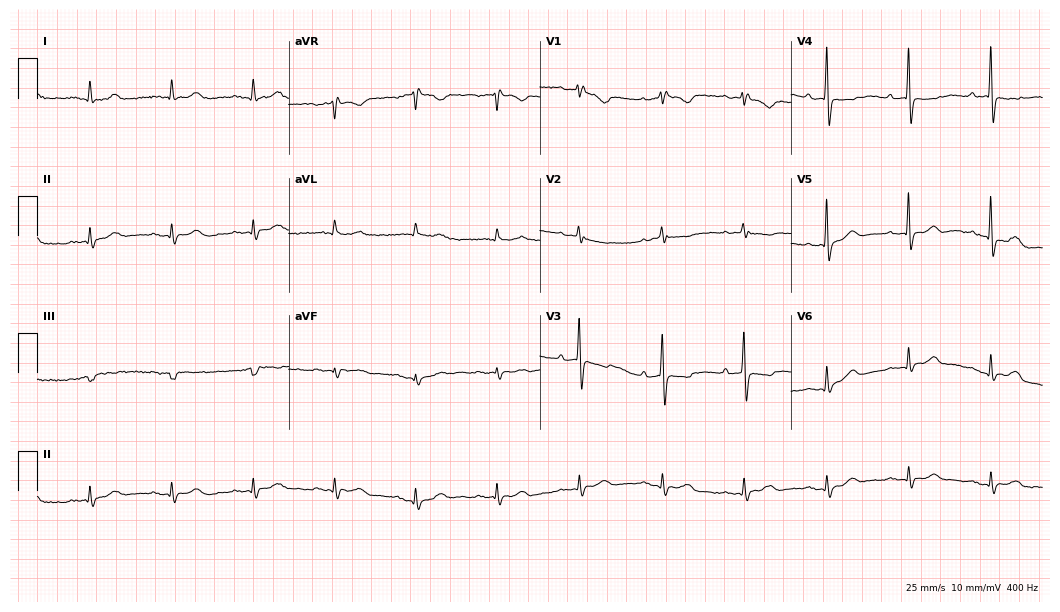
Electrocardiogram (10.2-second recording at 400 Hz), a woman, 82 years old. Of the six screened findings (first-degree AV block, right bundle branch block, left bundle branch block, sinus bradycardia, atrial fibrillation, sinus tachycardia), none is recorded.